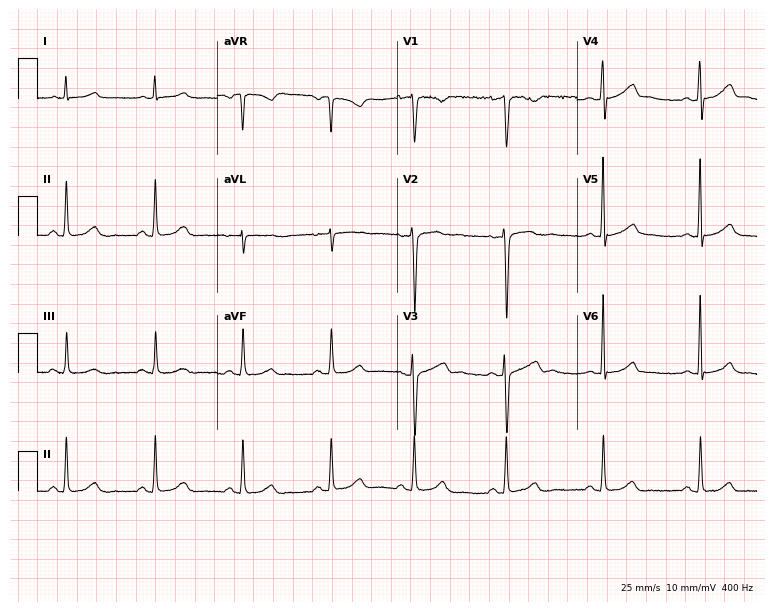
Standard 12-lead ECG recorded from a woman, 28 years old (7.3-second recording at 400 Hz). Read as a normal ECG.